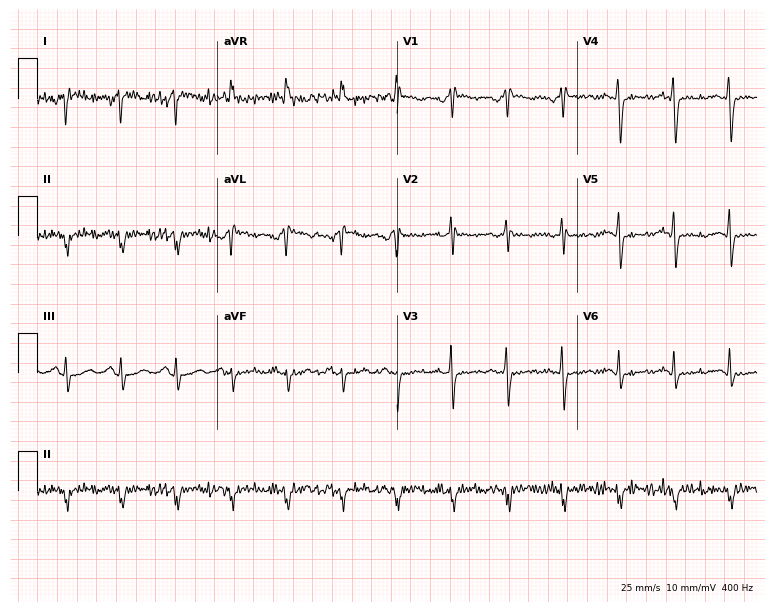
Electrocardiogram, a 55-year-old woman. Of the six screened findings (first-degree AV block, right bundle branch block (RBBB), left bundle branch block (LBBB), sinus bradycardia, atrial fibrillation (AF), sinus tachycardia), none is recorded. Findings outside these six are not listed.